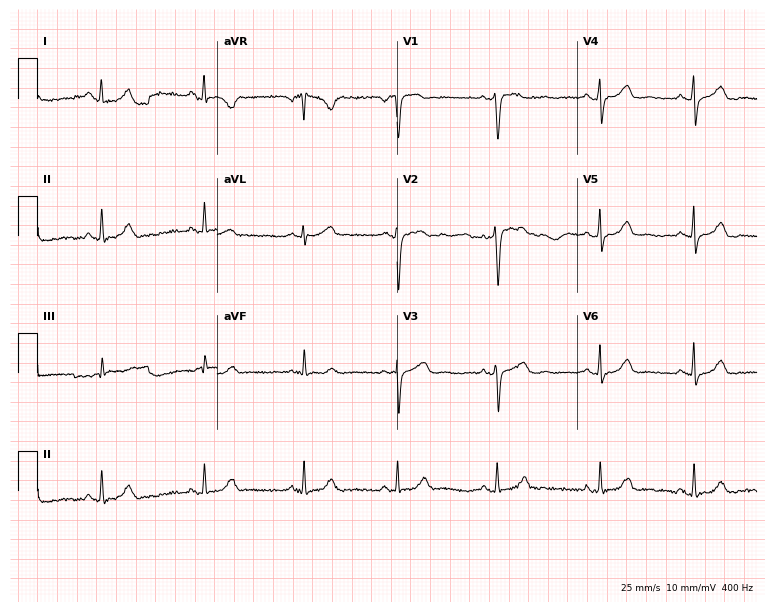
Standard 12-lead ECG recorded from a 27-year-old female (7.3-second recording at 400 Hz). Read as a normal ECG.